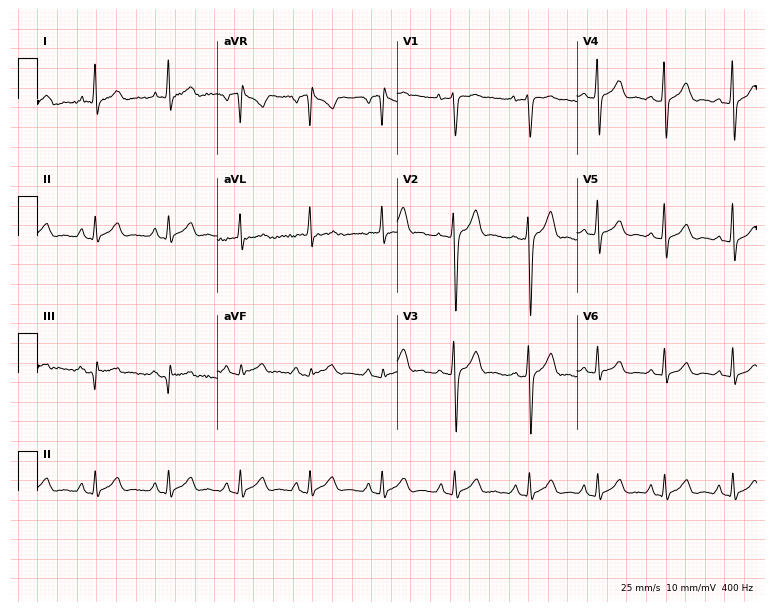
Electrocardiogram, a man, 34 years old. Of the six screened findings (first-degree AV block, right bundle branch block (RBBB), left bundle branch block (LBBB), sinus bradycardia, atrial fibrillation (AF), sinus tachycardia), none is recorded.